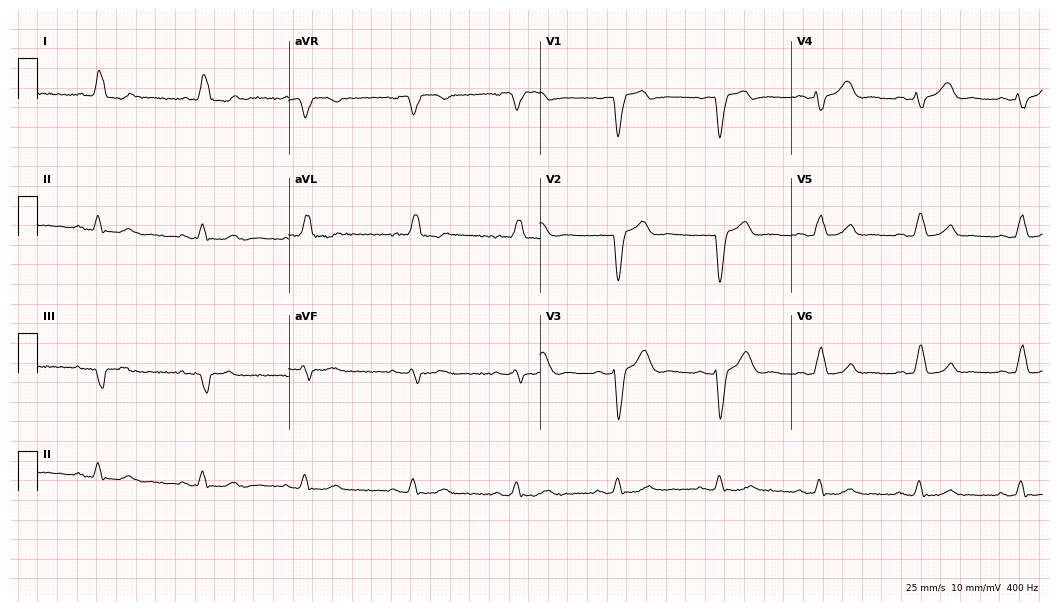
Standard 12-lead ECG recorded from a female patient, 80 years old (10.2-second recording at 400 Hz). None of these six findings is recorded: first-degree AV block, right bundle branch block (RBBB), left bundle branch block (LBBB), sinus bradycardia, atrial fibrillation (AF), sinus tachycardia.